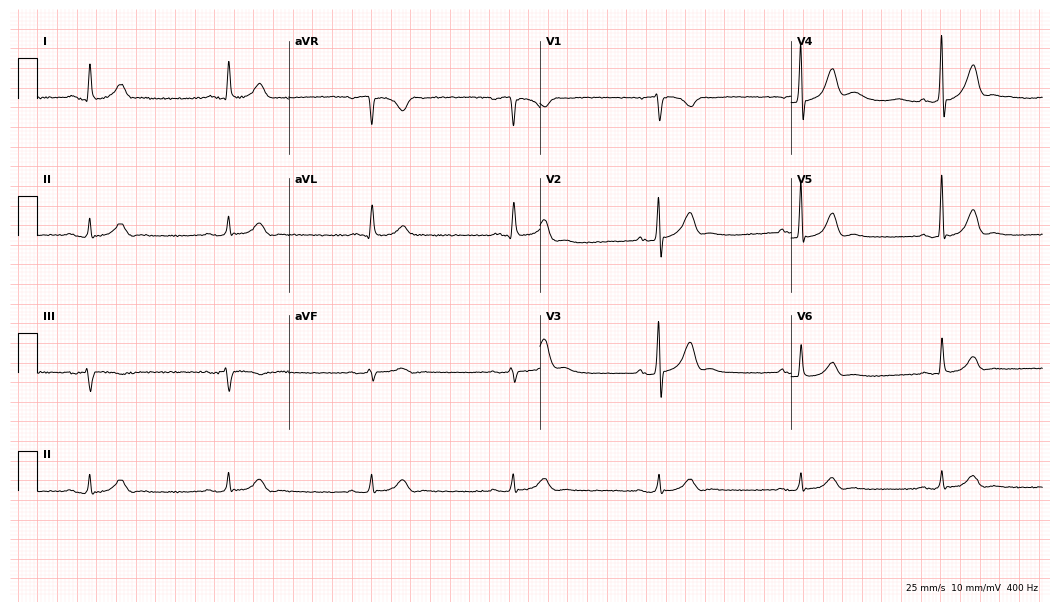
Electrocardiogram, an 80-year-old male. Interpretation includes sinus bradycardia (a sinus rate of 50 beats per minute or less).